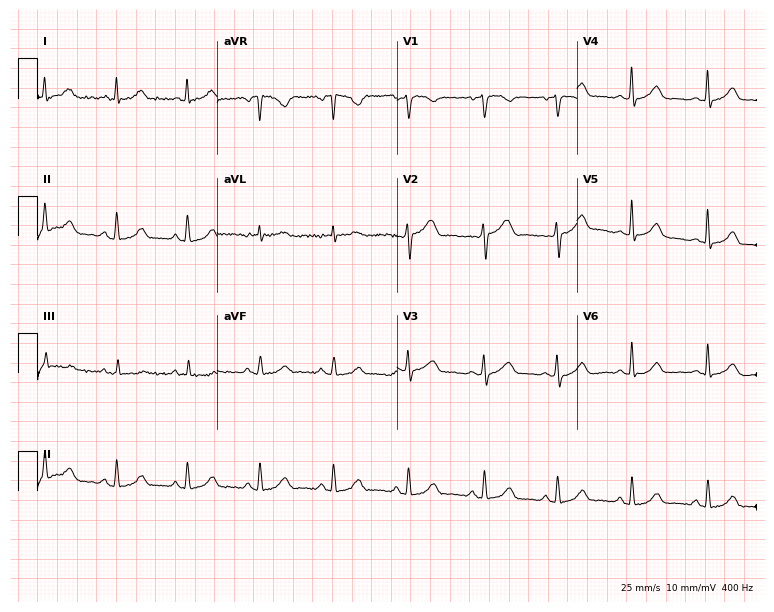
Electrocardiogram, a 51-year-old female patient. Of the six screened findings (first-degree AV block, right bundle branch block, left bundle branch block, sinus bradycardia, atrial fibrillation, sinus tachycardia), none is recorded. Findings outside these six are not listed.